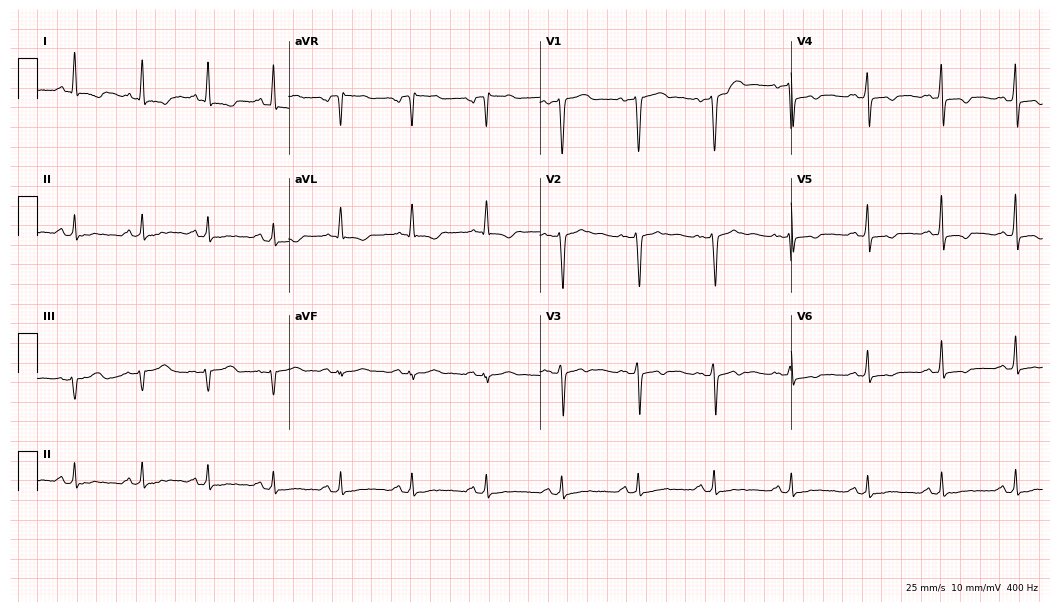
Resting 12-lead electrocardiogram (10.2-second recording at 400 Hz). Patient: a female, 59 years old. Read as a normal ECG.